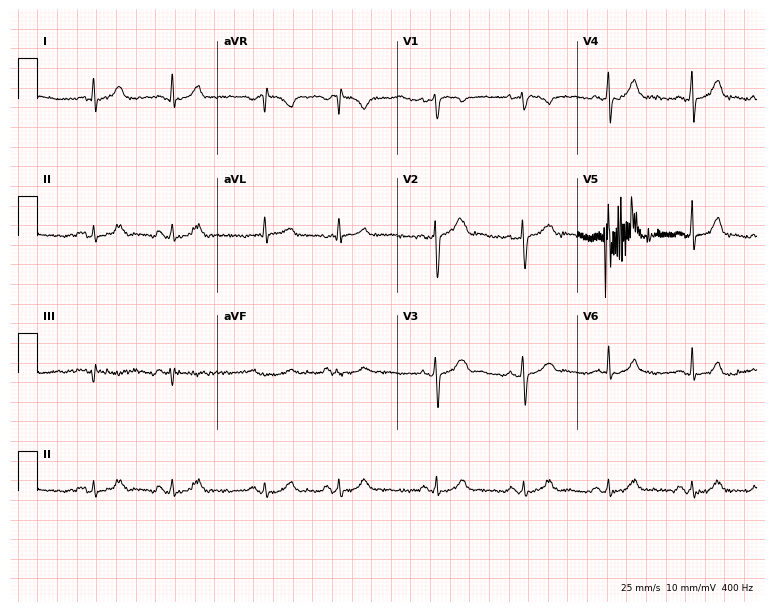
Electrocardiogram, a woman, 19 years old. Of the six screened findings (first-degree AV block, right bundle branch block (RBBB), left bundle branch block (LBBB), sinus bradycardia, atrial fibrillation (AF), sinus tachycardia), none is recorded. Other findings, if any, are not listed.